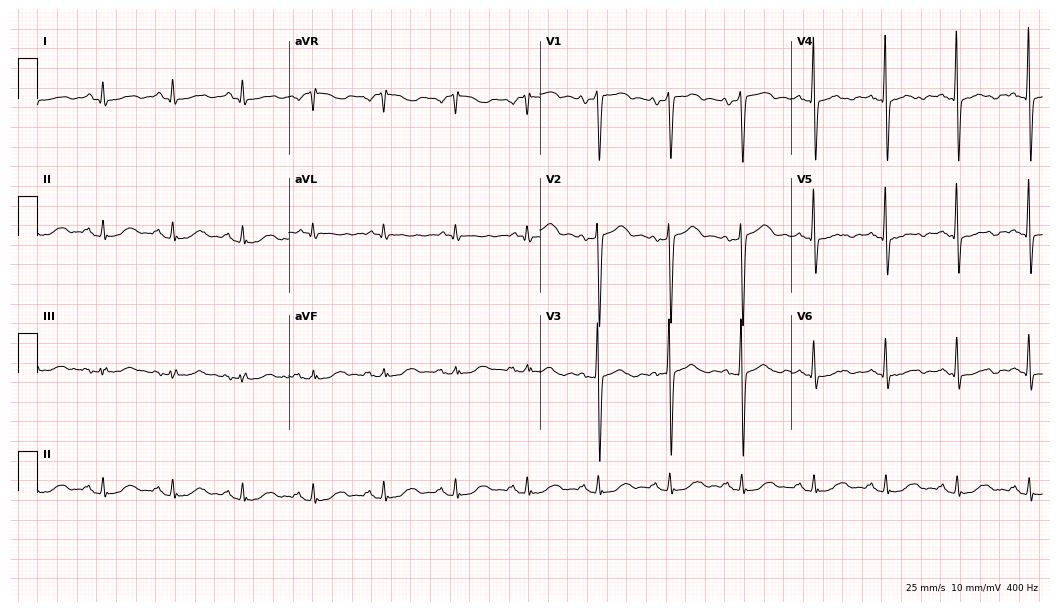
Resting 12-lead electrocardiogram (10.2-second recording at 400 Hz). Patient: a man, 66 years old. None of these six findings is recorded: first-degree AV block, right bundle branch block, left bundle branch block, sinus bradycardia, atrial fibrillation, sinus tachycardia.